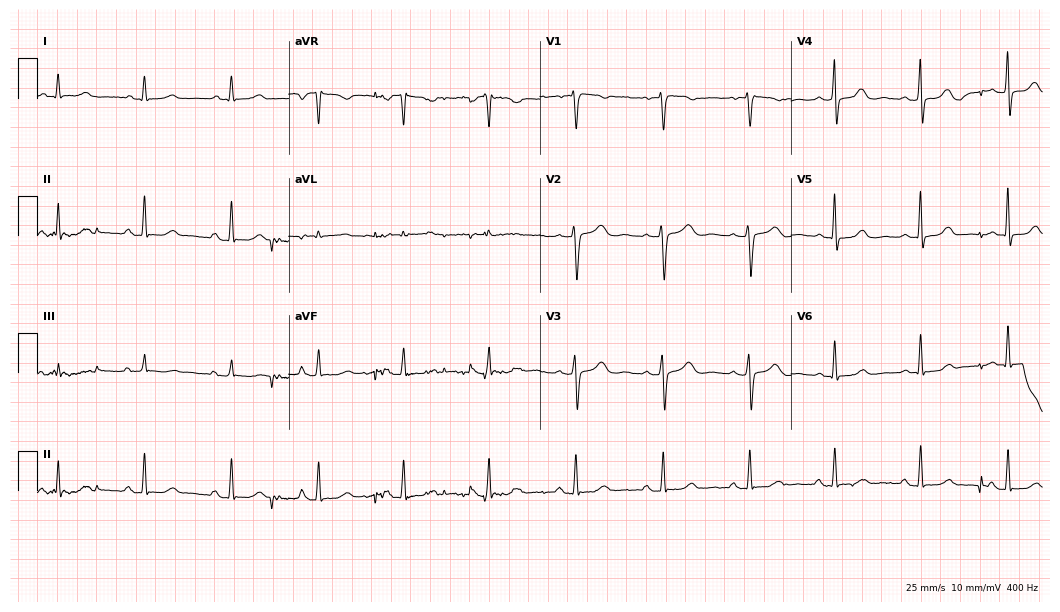
Standard 12-lead ECG recorded from a 48-year-old female patient (10.2-second recording at 400 Hz). Read as a normal ECG.